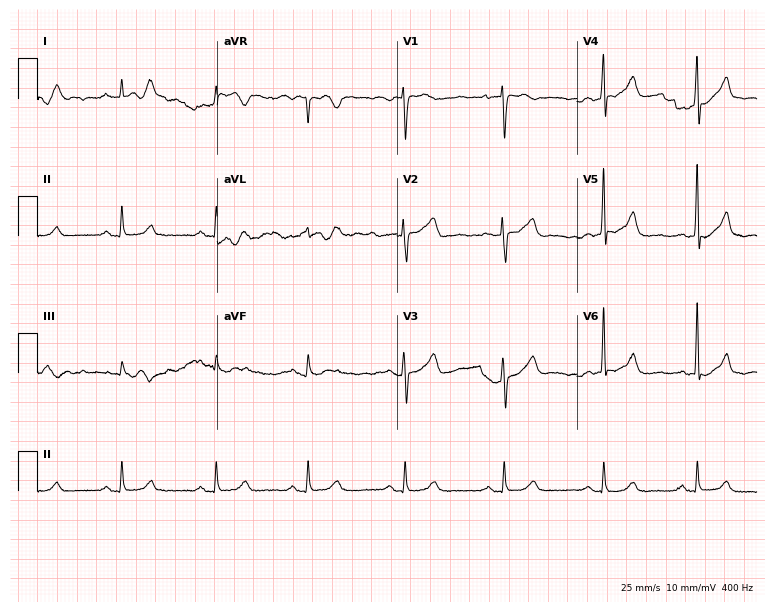
Resting 12-lead electrocardiogram. Patient: a man, 66 years old. None of these six findings is recorded: first-degree AV block, right bundle branch block, left bundle branch block, sinus bradycardia, atrial fibrillation, sinus tachycardia.